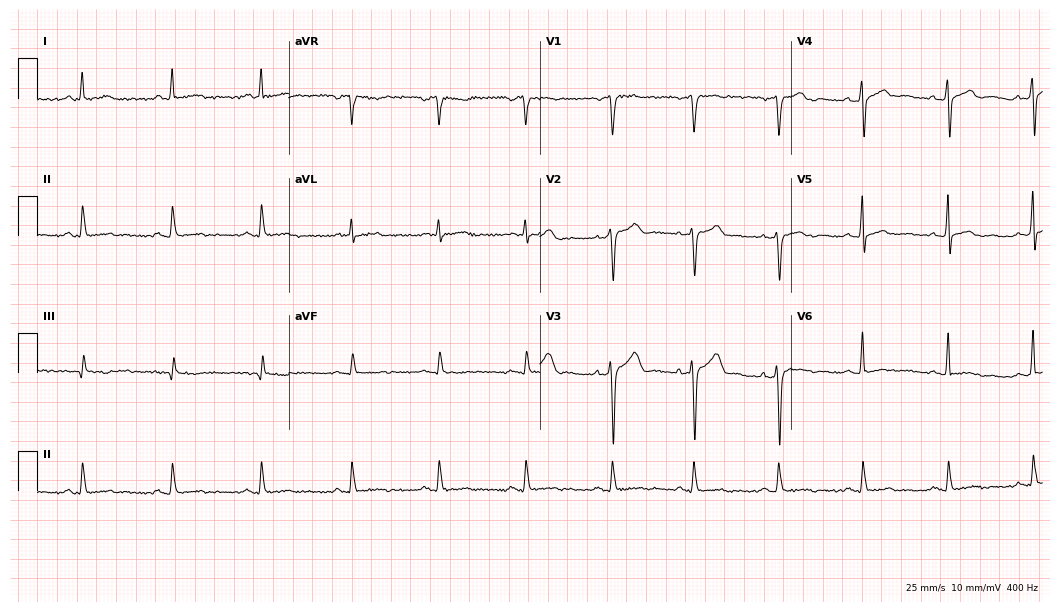
Resting 12-lead electrocardiogram (10.2-second recording at 400 Hz). Patient: a male, 42 years old. None of these six findings is recorded: first-degree AV block, right bundle branch block, left bundle branch block, sinus bradycardia, atrial fibrillation, sinus tachycardia. Findings outside these six are not listed.